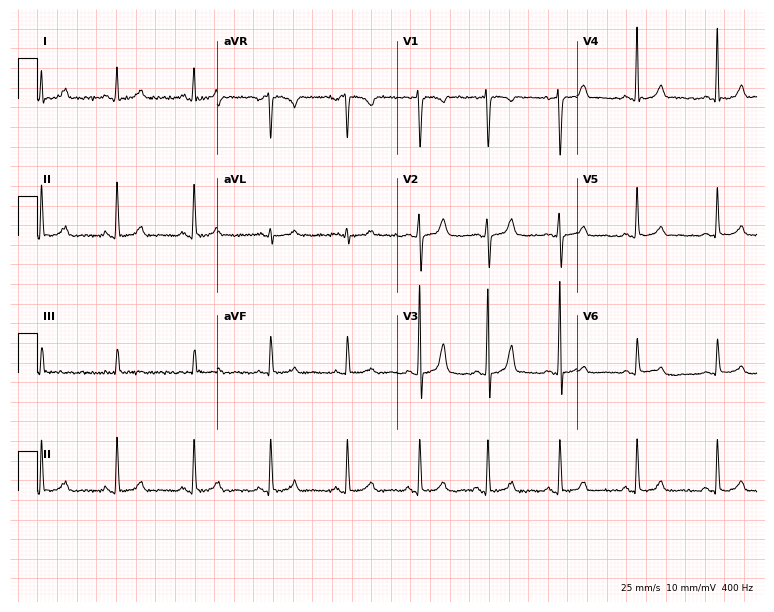
ECG (7.3-second recording at 400 Hz) — a 25-year-old female. Labelled as a normal ECG.